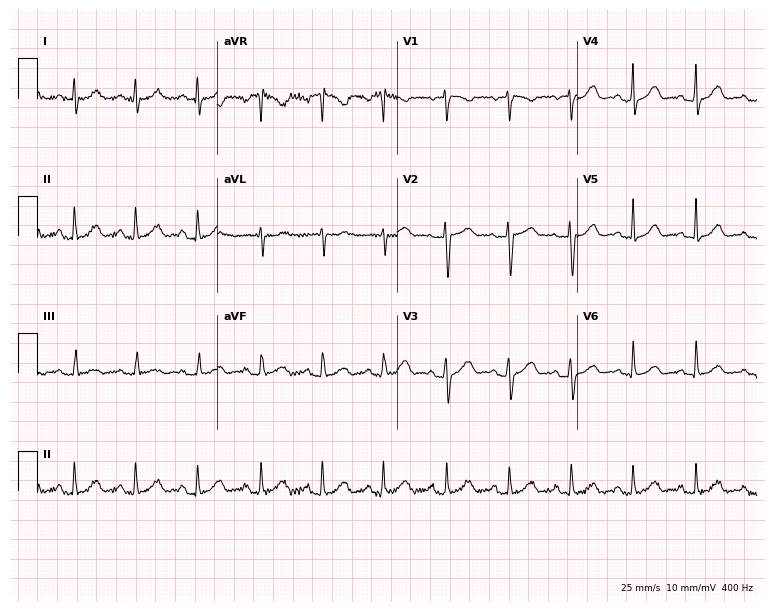
Resting 12-lead electrocardiogram. Patient: a woman, 33 years old. Read as a normal ECG.